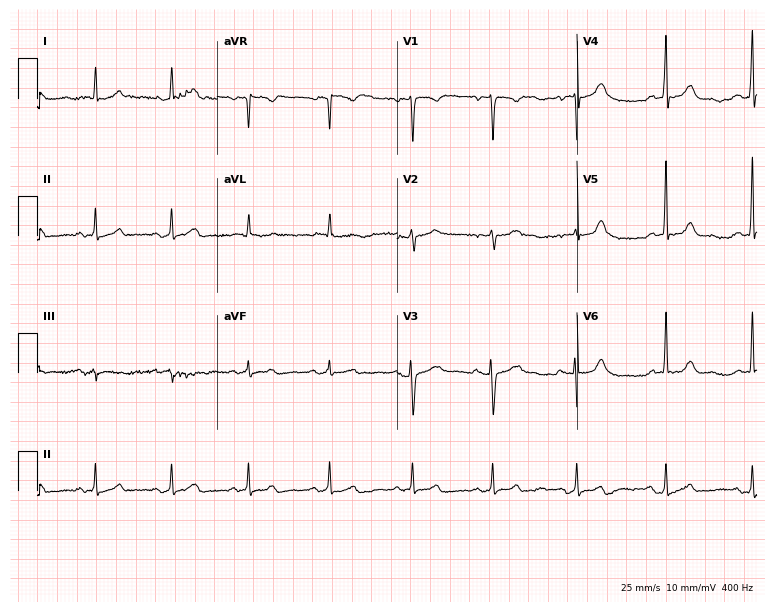
Standard 12-lead ECG recorded from a 36-year-old female patient. Read as a normal ECG.